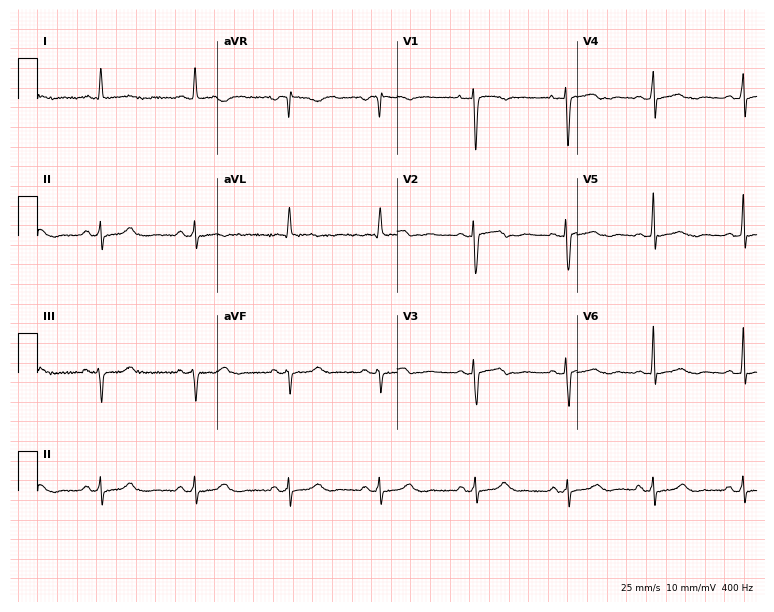
ECG (7.3-second recording at 400 Hz) — a female, 33 years old. Screened for six findings — first-degree AV block, right bundle branch block (RBBB), left bundle branch block (LBBB), sinus bradycardia, atrial fibrillation (AF), sinus tachycardia — none is recorded.